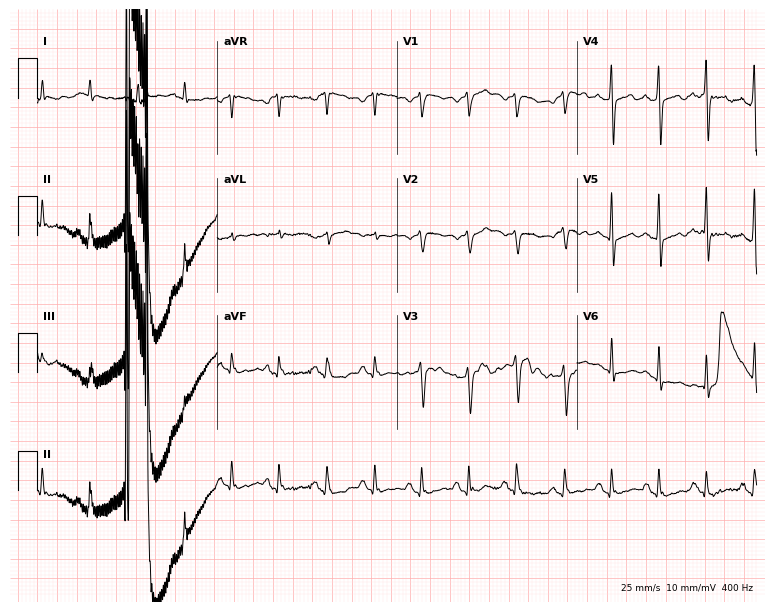
ECG — a man, 77 years old. Screened for six findings — first-degree AV block, right bundle branch block, left bundle branch block, sinus bradycardia, atrial fibrillation, sinus tachycardia — none is recorded.